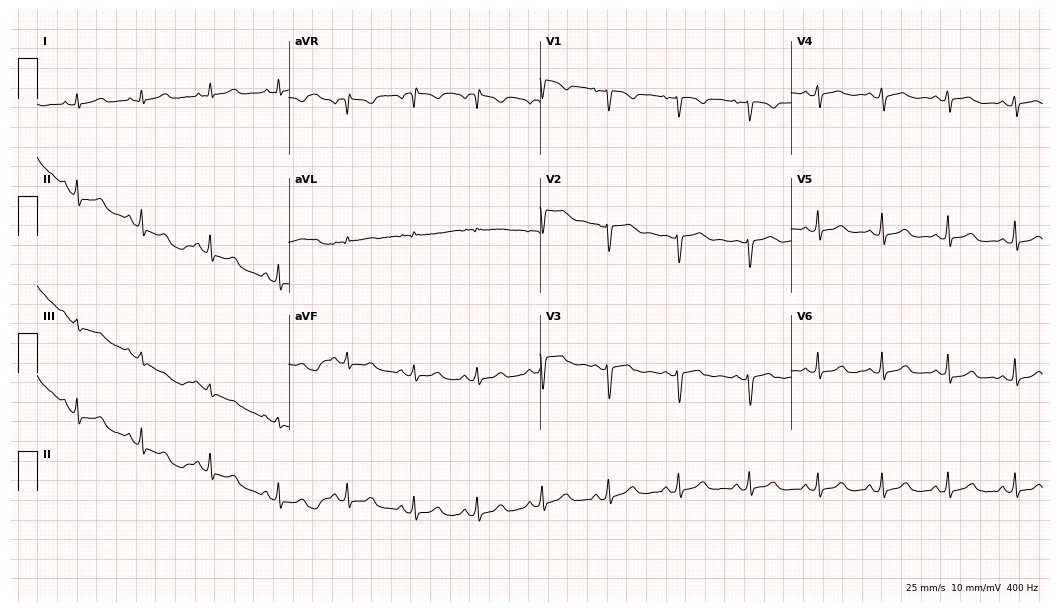
Electrocardiogram (10.2-second recording at 400 Hz), a female, 52 years old. Of the six screened findings (first-degree AV block, right bundle branch block, left bundle branch block, sinus bradycardia, atrial fibrillation, sinus tachycardia), none is recorded.